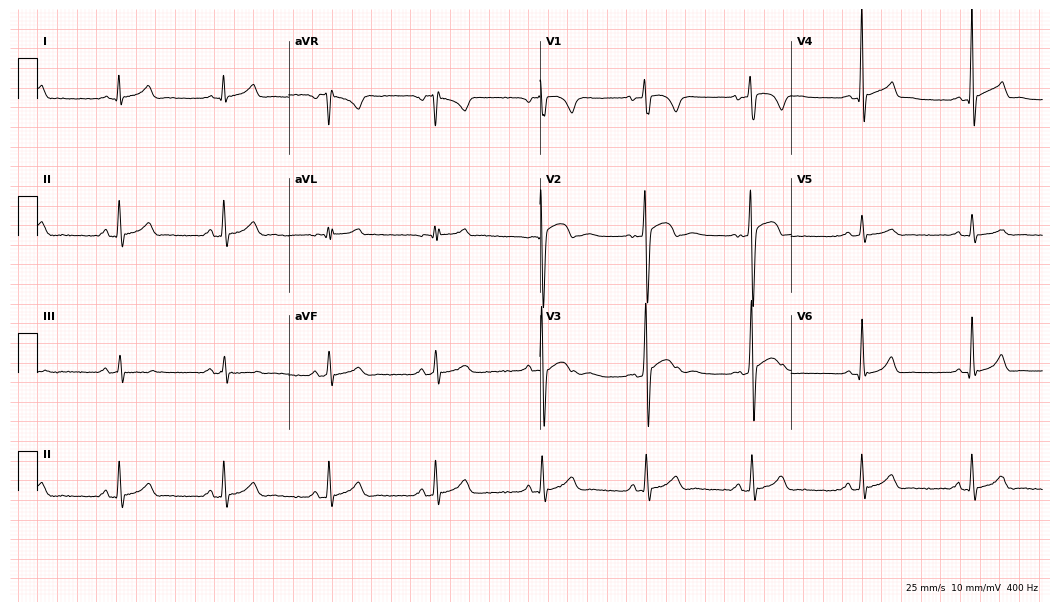
Resting 12-lead electrocardiogram. Patient: a male, 30 years old. None of these six findings is recorded: first-degree AV block, right bundle branch block, left bundle branch block, sinus bradycardia, atrial fibrillation, sinus tachycardia.